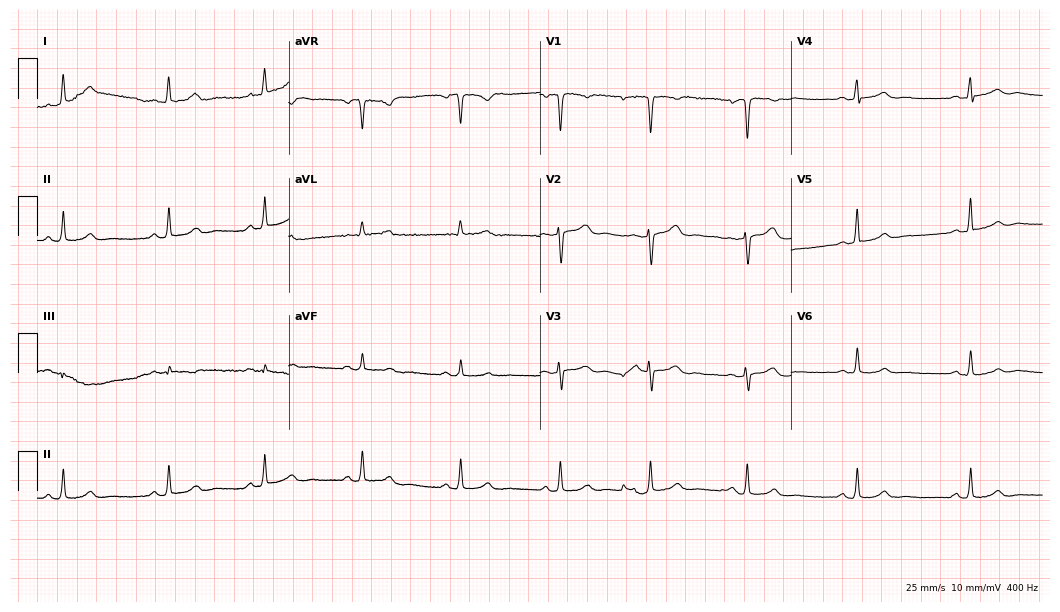
12-lead ECG (10.2-second recording at 400 Hz) from a female, 37 years old. Labelled as a normal ECG.